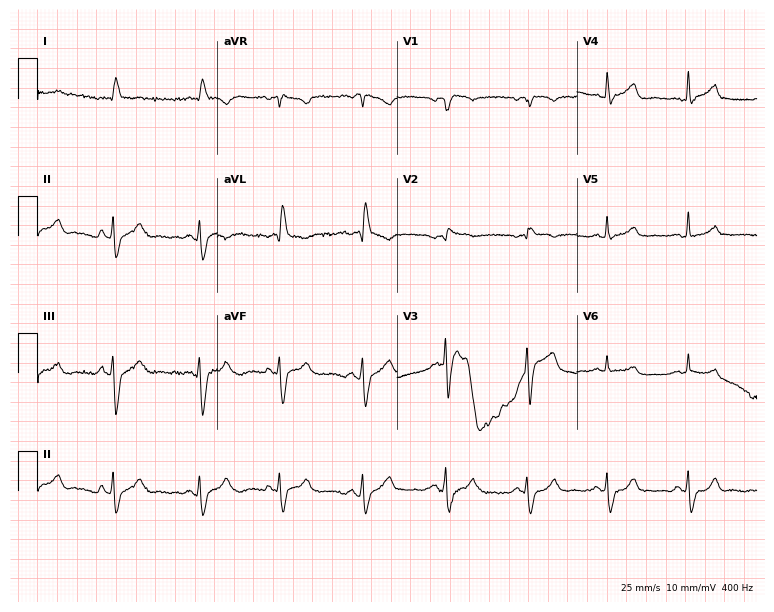
Standard 12-lead ECG recorded from a man, 36 years old (7.3-second recording at 400 Hz). None of these six findings is recorded: first-degree AV block, right bundle branch block, left bundle branch block, sinus bradycardia, atrial fibrillation, sinus tachycardia. Findings outside these six are not listed.